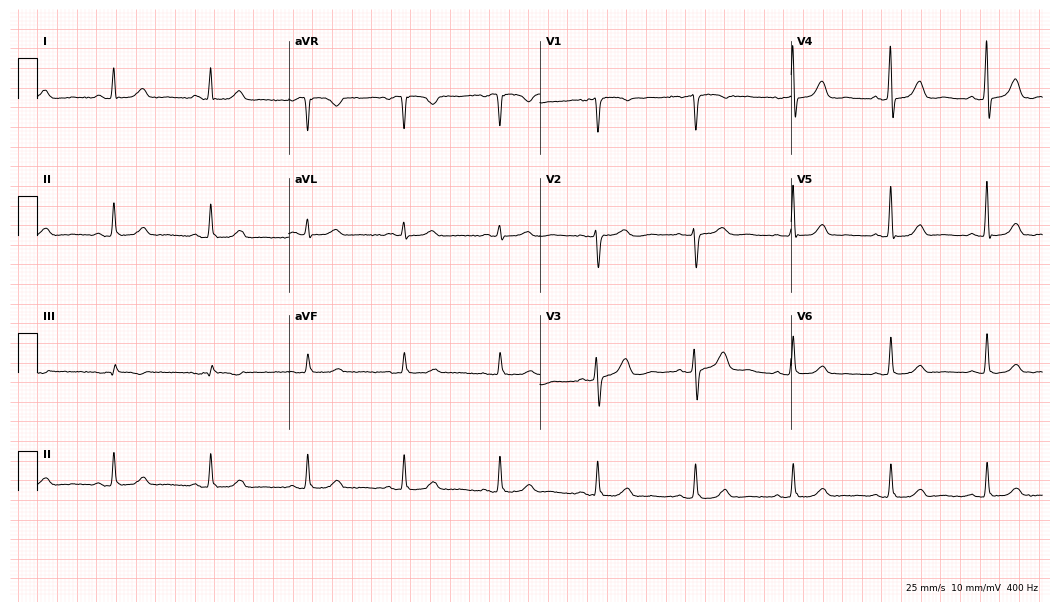
Electrocardiogram (10.2-second recording at 400 Hz), a 58-year-old woman. Overall reading on record: normal ECG.